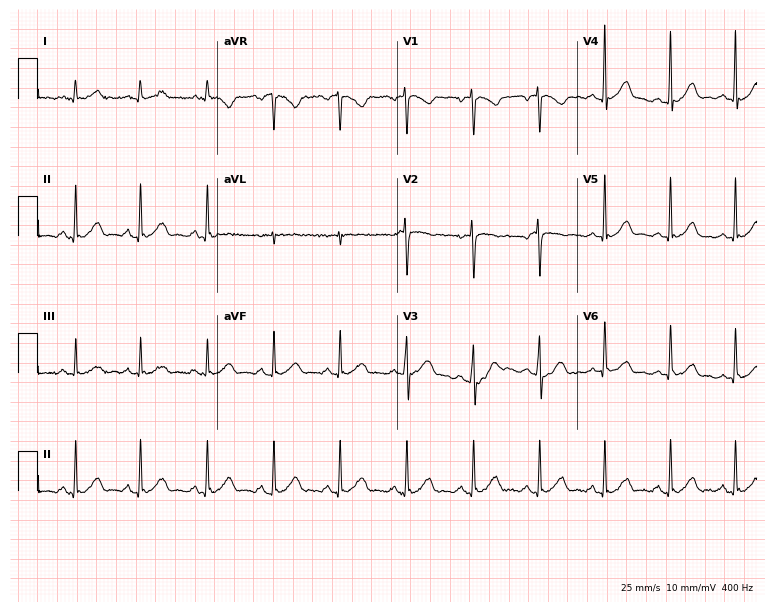
ECG — a 34-year-old man. Labelled as a normal ECG.